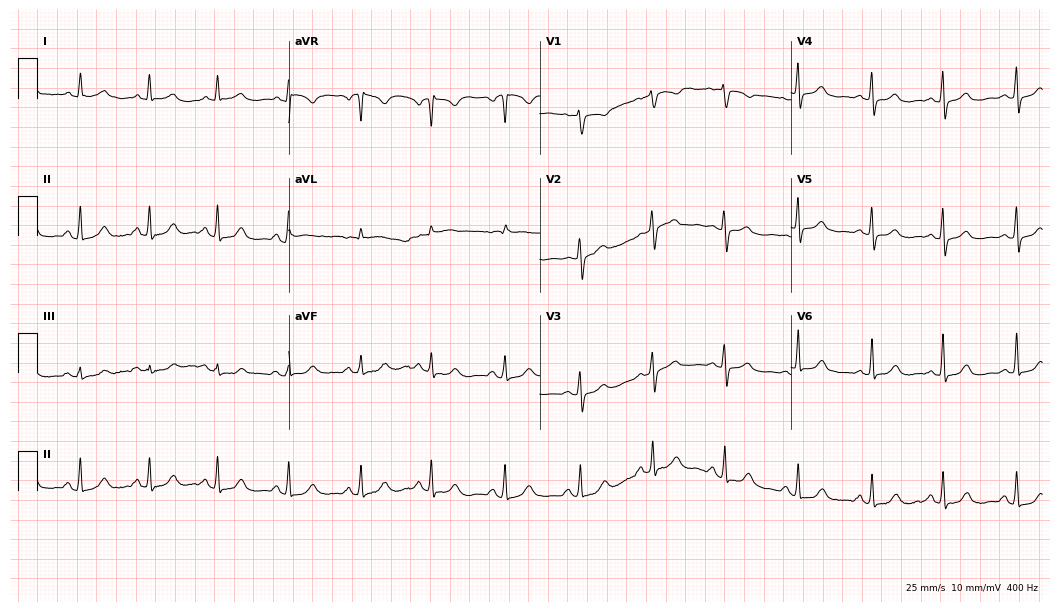
ECG (10.2-second recording at 400 Hz) — a 60-year-old female patient. Labelled as a normal ECG.